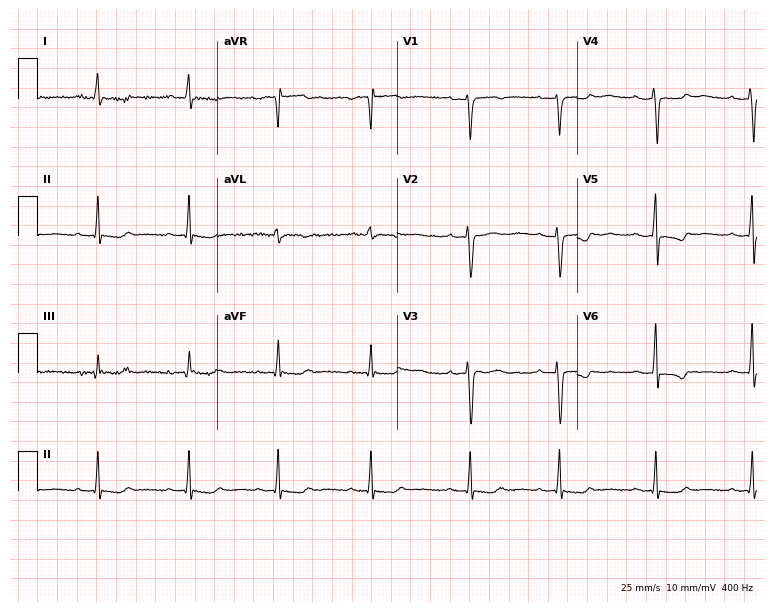
Resting 12-lead electrocardiogram. Patient: a female, 52 years old. None of these six findings is recorded: first-degree AV block, right bundle branch block (RBBB), left bundle branch block (LBBB), sinus bradycardia, atrial fibrillation (AF), sinus tachycardia. Only these six findings were labelled.